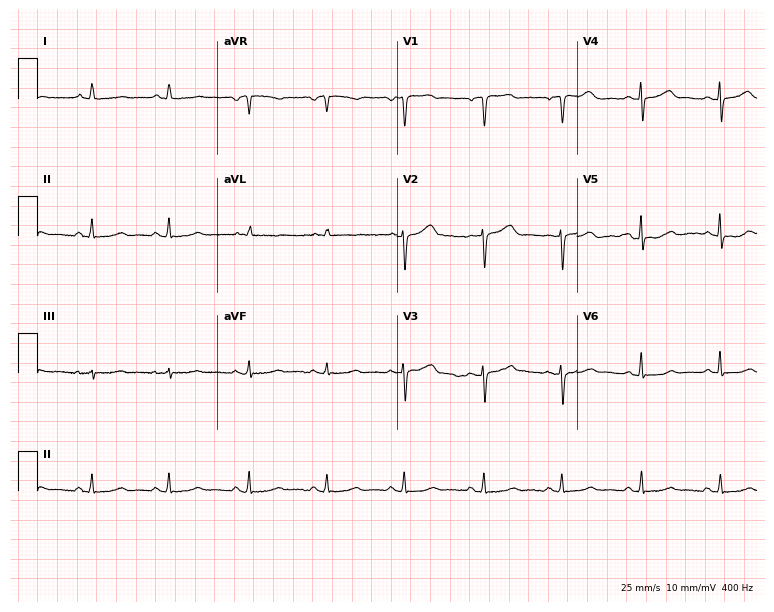
Resting 12-lead electrocardiogram. Patient: a female, 66 years old. None of these six findings is recorded: first-degree AV block, right bundle branch block, left bundle branch block, sinus bradycardia, atrial fibrillation, sinus tachycardia.